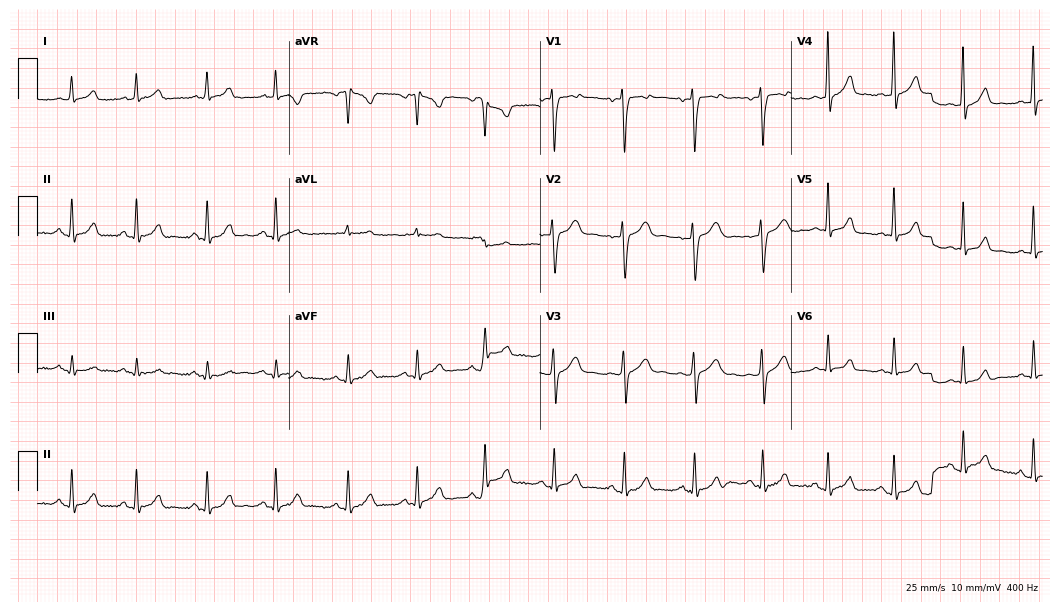
12-lead ECG from an 18-year-old female patient. No first-degree AV block, right bundle branch block (RBBB), left bundle branch block (LBBB), sinus bradycardia, atrial fibrillation (AF) or sinus tachycardia recorded for this tracing.